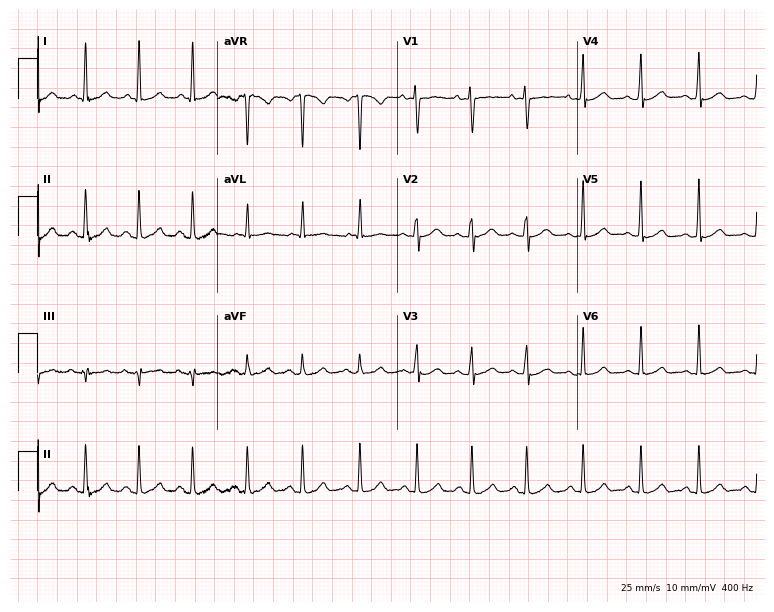
12-lead ECG from a female patient, 25 years old. Findings include sinus tachycardia (a sinus rate of 100 beats per minute or more).